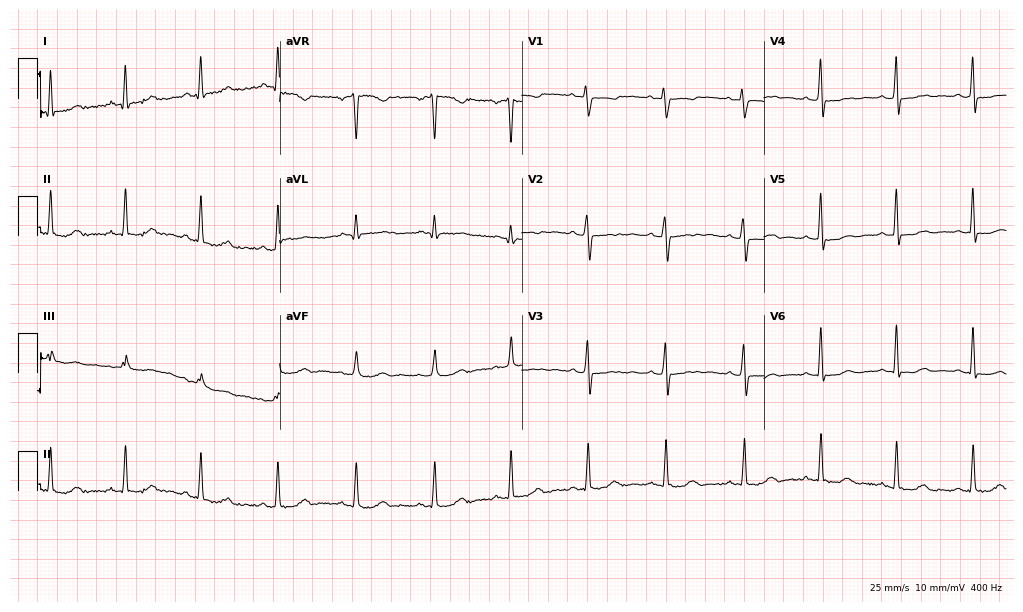
12-lead ECG from a female patient, 51 years old (9.9-second recording at 400 Hz). No first-degree AV block, right bundle branch block, left bundle branch block, sinus bradycardia, atrial fibrillation or sinus tachycardia recorded for this tracing. Other findings, if any, are not listed.